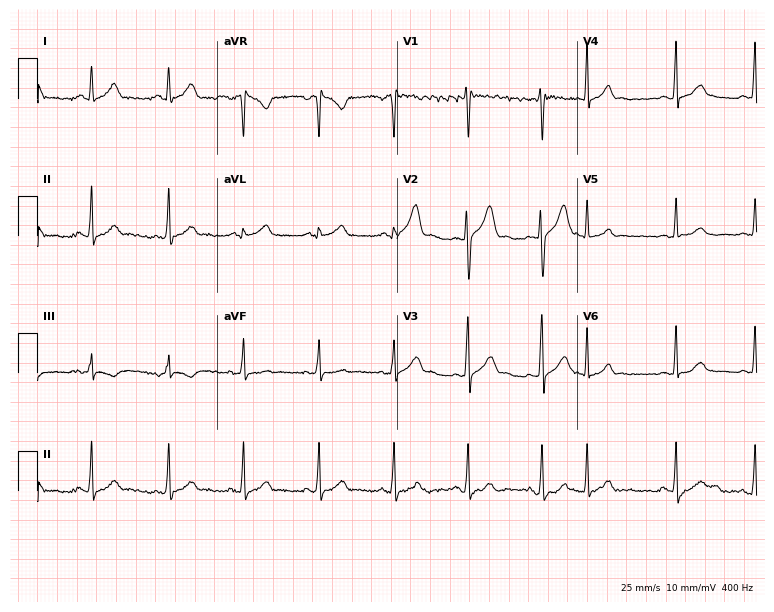
Resting 12-lead electrocardiogram (7.3-second recording at 400 Hz). Patient: a man, 30 years old. Read as a normal ECG.